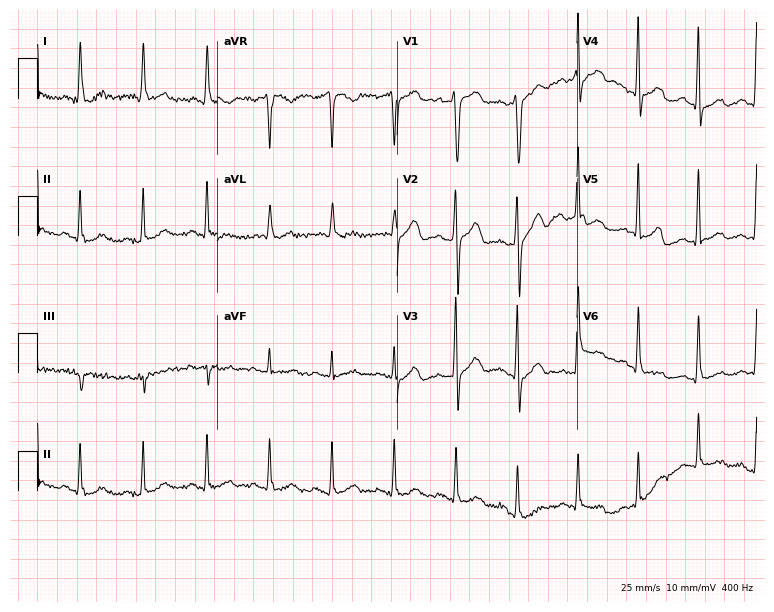
Electrocardiogram, a man, 38 years old. Overall reading on record: normal ECG.